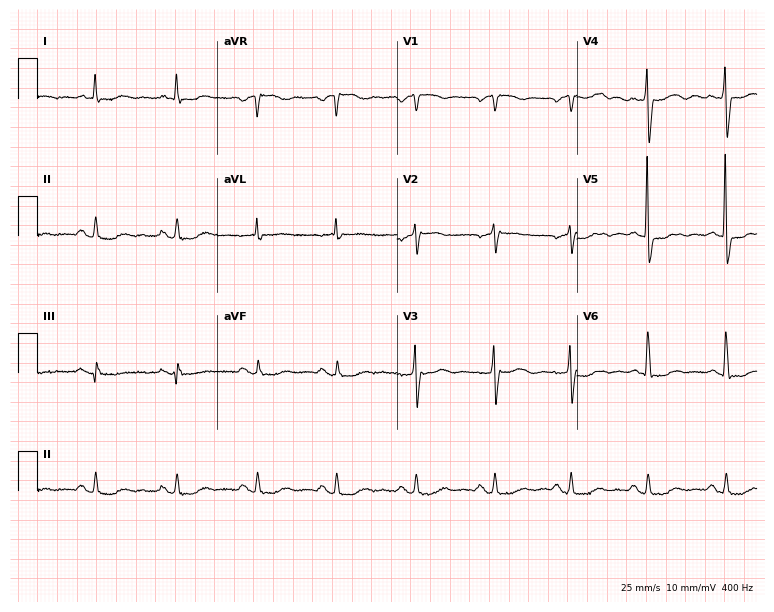
12-lead ECG from a female patient, 76 years old (7.3-second recording at 400 Hz). Recorded interpretation: within normal limits.